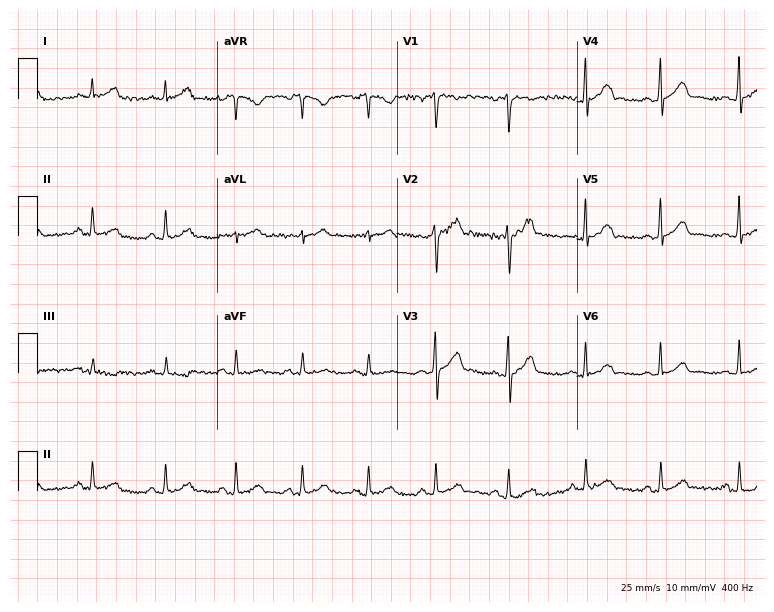
ECG — a 39-year-old male patient. Labelled as a normal ECG.